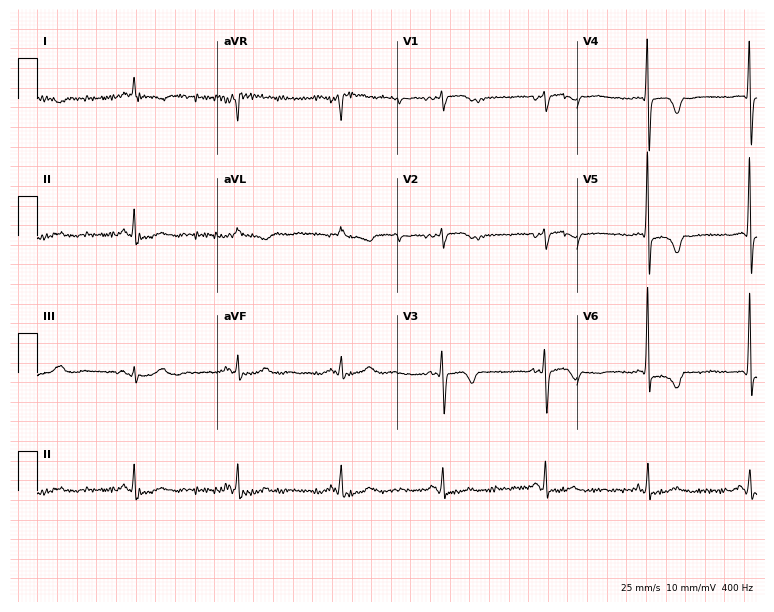
Standard 12-lead ECG recorded from a 77-year-old female patient. None of these six findings is recorded: first-degree AV block, right bundle branch block, left bundle branch block, sinus bradycardia, atrial fibrillation, sinus tachycardia. Other findings, if any, are not listed.